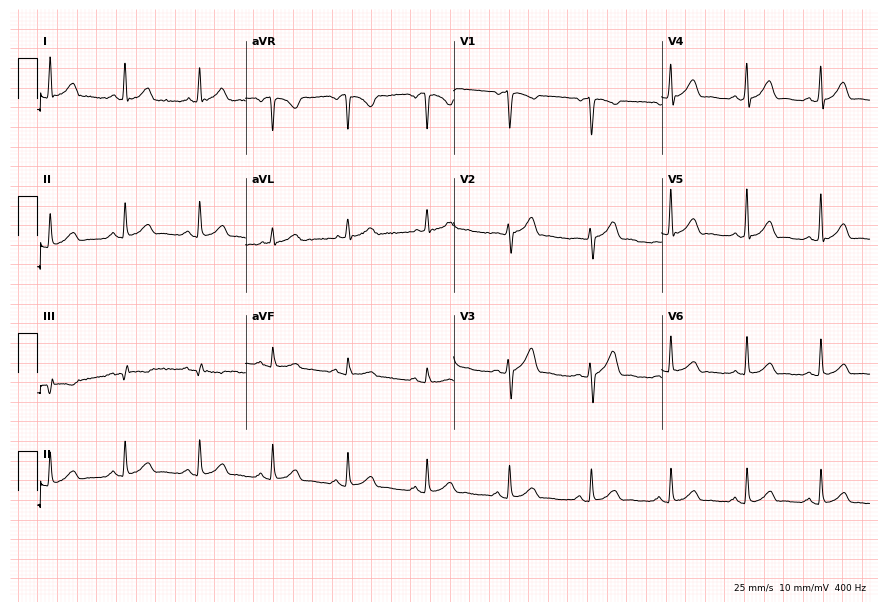
12-lead ECG from a 42-year-old male. No first-degree AV block, right bundle branch block, left bundle branch block, sinus bradycardia, atrial fibrillation or sinus tachycardia recorded for this tracing. Findings outside these six are not listed.